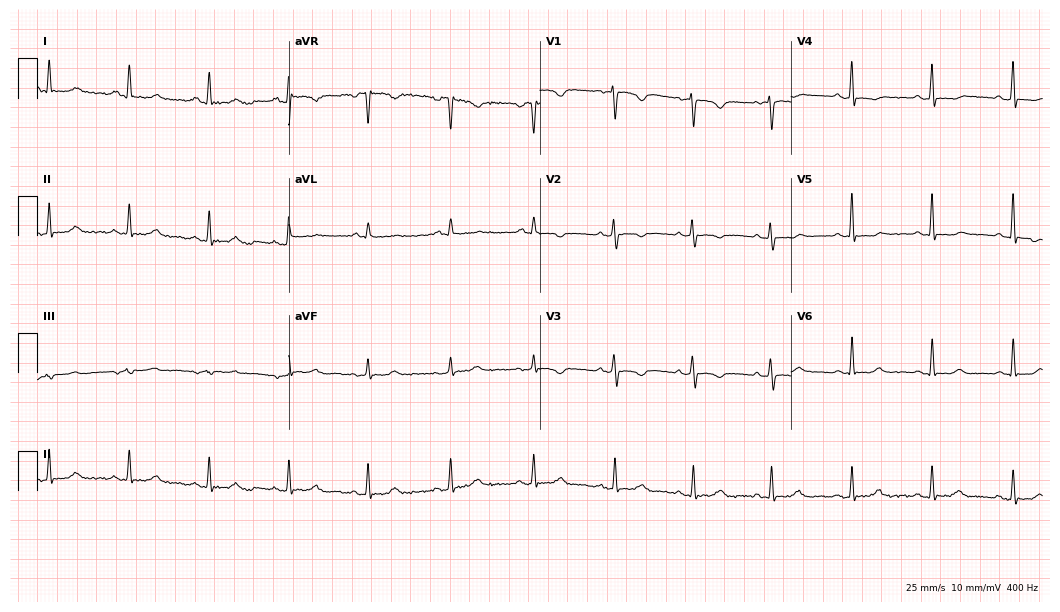
ECG (10.2-second recording at 400 Hz) — a 41-year-old female. Screened for six findings — first-degree AV block, right bundle branch block (RBBB), left bundle branch block (LBBB), sinus bradycardia, atrial fibrillation (AF), sinus tachycardia — none is recorded.